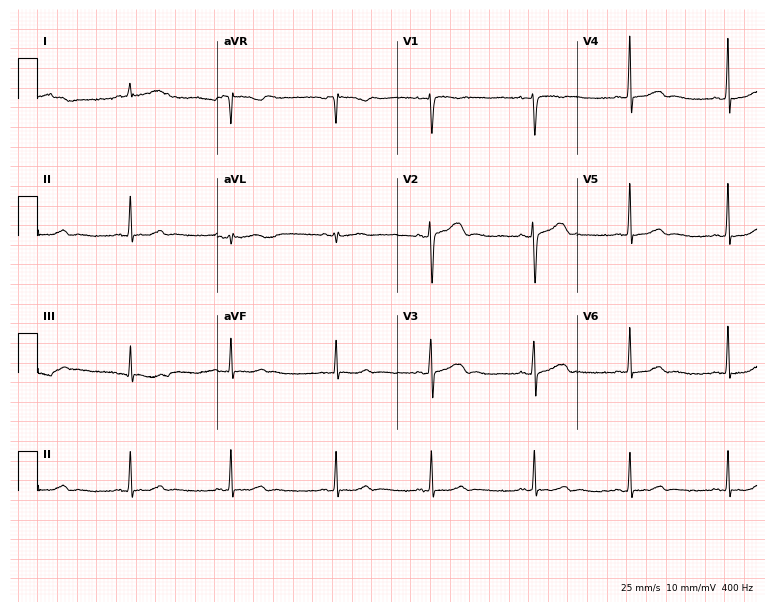
12-lead ECG from a female patient, 36 years old. Labelled as a normal ECG.